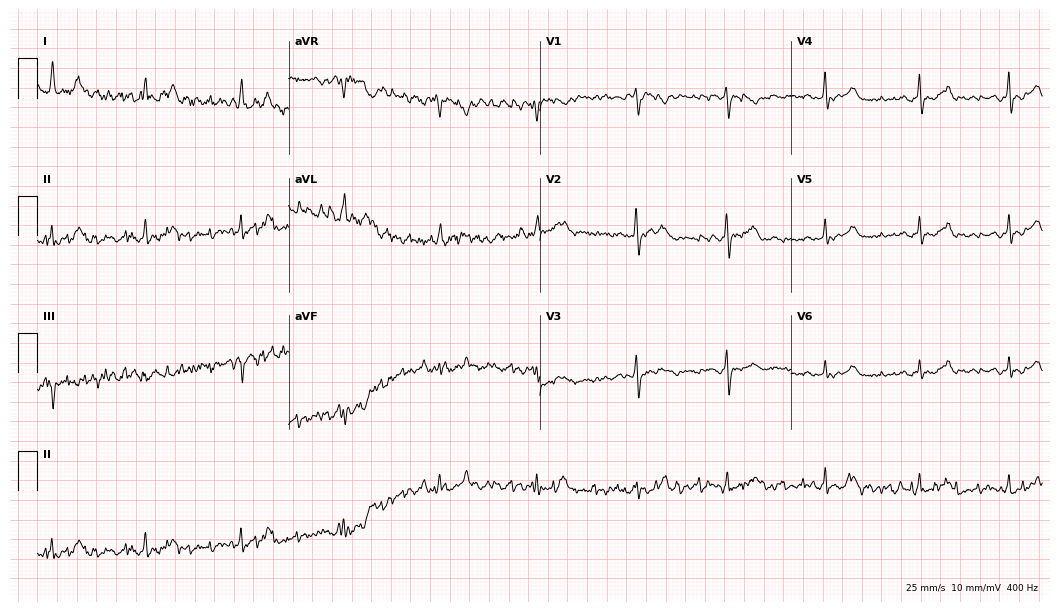
12-lead ECG (10.2-second recording at 400 Hz) from a 67-year-old woman. Screened for six findings — first-degree AV block, right bundle branch block, left bundle branch block, sinus bradycardia, atrial fibrillation, sinus tachycardia — none is recorded.